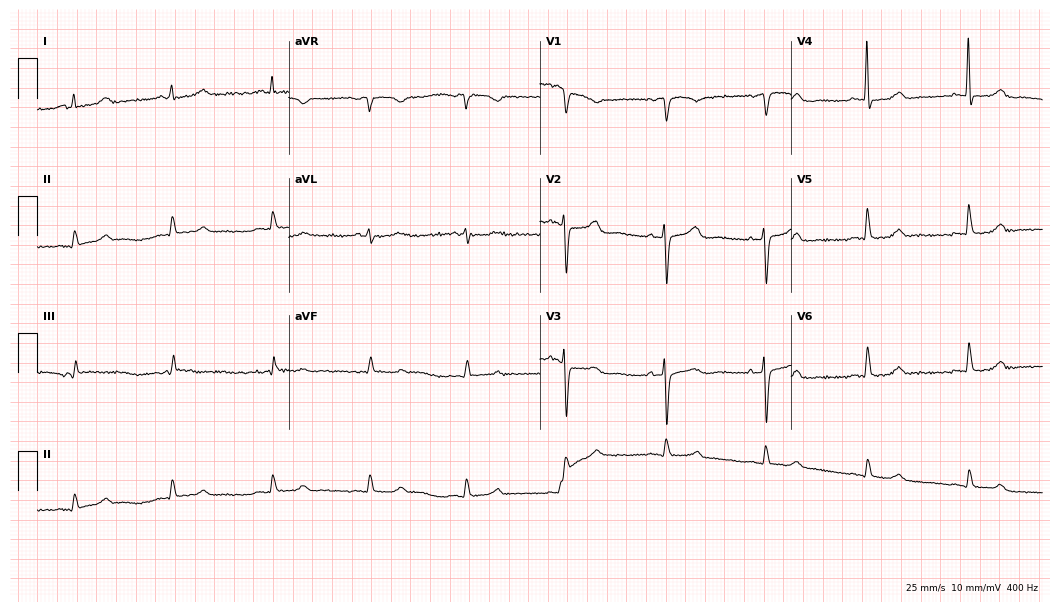
Standard 12-lead ECG recorded from an 83-year-old woman (10.2-second recording at 400 Hz). Read as a normal ECG.